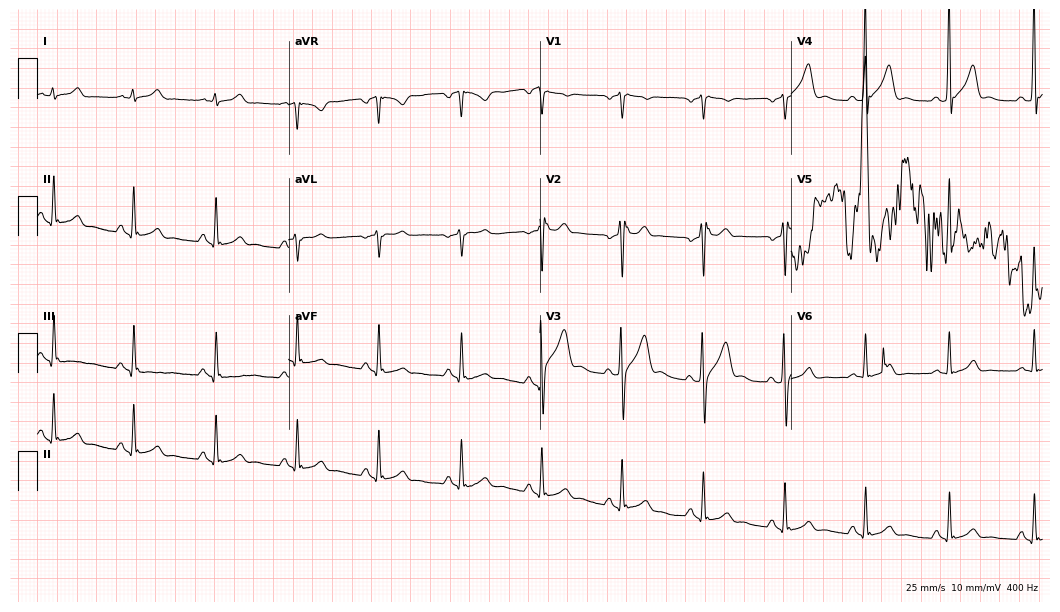
Electrocardiogram, a male, 46 years old. Of the six screened findings (first-degree AV block, right bundle branch block, left bundle branch block, sinus bradycardia, atrial fibrillation, sinus tachycardia), none is recorded.